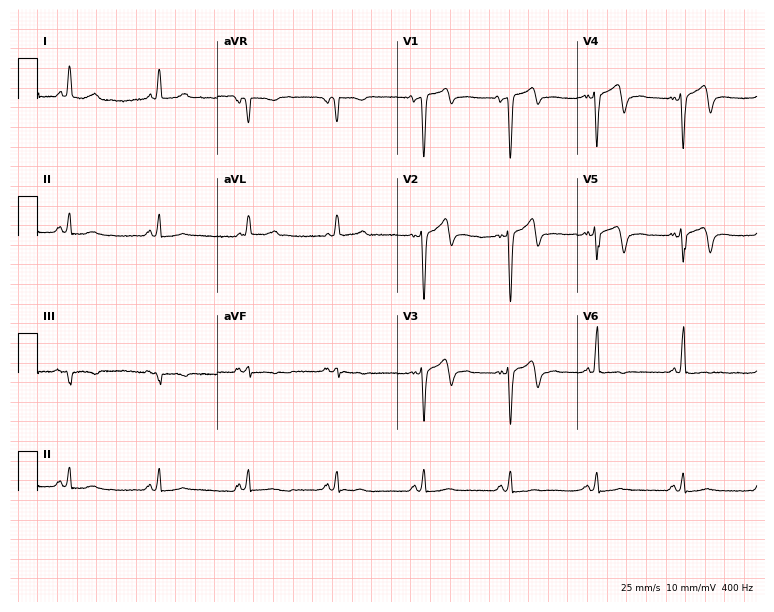
ECG (7.3-second recording at 400 Hz) — a 68-year-old male patient. Screened for six findings — first-degree AV block, right bundle branch block (RBBB), left bundle branch block (LBBB), sinus bradycardia, atrial fibrillation (AF), sinus tachycardia — none is recorded. Other findings, if any, are not listed.